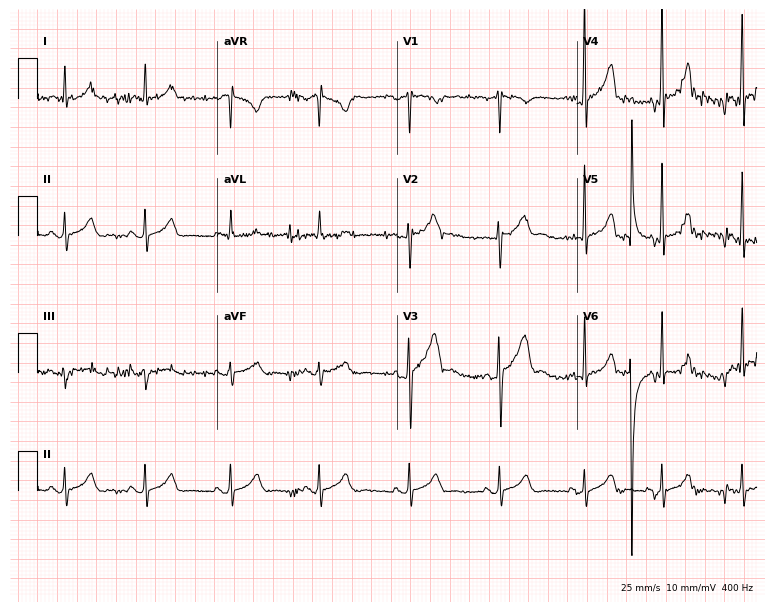
12-lead ECG from a male, 18 years old (7.3-second recording at 400 Hz). Recorded interpretation: within normal limits.